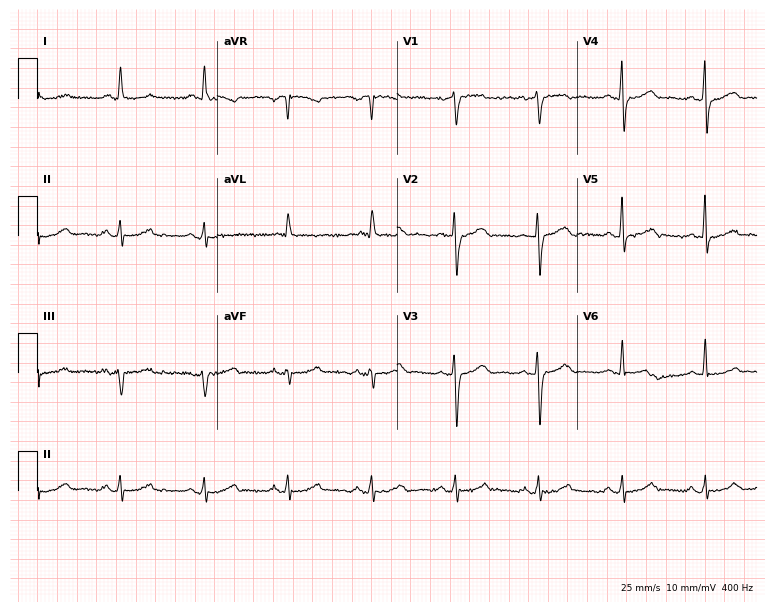
Electrocardiogram (7.3-second recording at 400 Hz), a female patient, 64 years old. Overall reading on record: normal ECG.